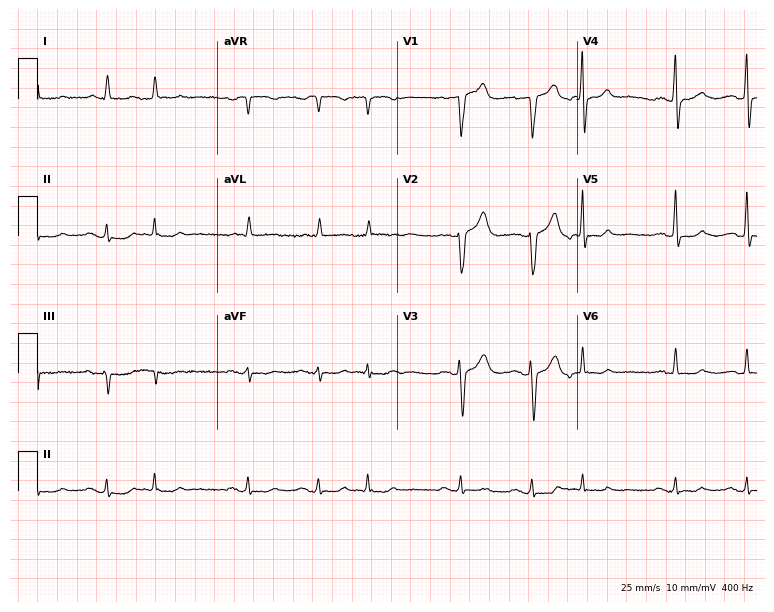
Electrocardiogram (7.3-second recording at 400 Hz), a male patient, 81 years old. Of the six screened findings (first-degree AV block, right bundle branch block, left bundle branch block, sinus bradycardia, atrial fibrillation, sinus tachycardia), none is recorded. Findings outside these six are not listed.